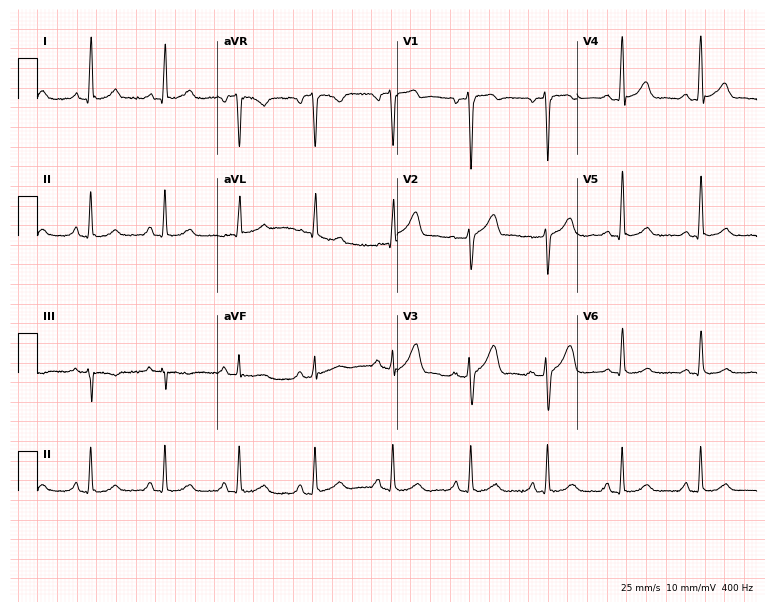
Electrocardiogram, a 54-year-old male. Of the six screened findings (first-degree AV block, right bundle branch block, left bundle branch block, sinus bradycardia, atrial fibrillation, sinus tachycardia), none is recorded. Findings outside these six are not listed.